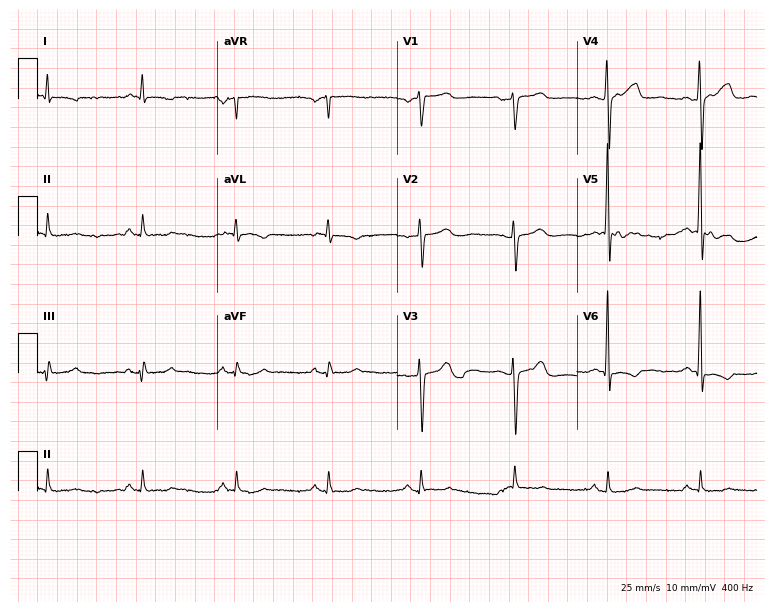
Electrocardiogram, a male, 59 years old. Of the six screened findings (first-degree AV block, right bundle branch block, left bundle branch block, sinus bradycardia, atrial fibrillation, sinus tachycardia), none is recorded.